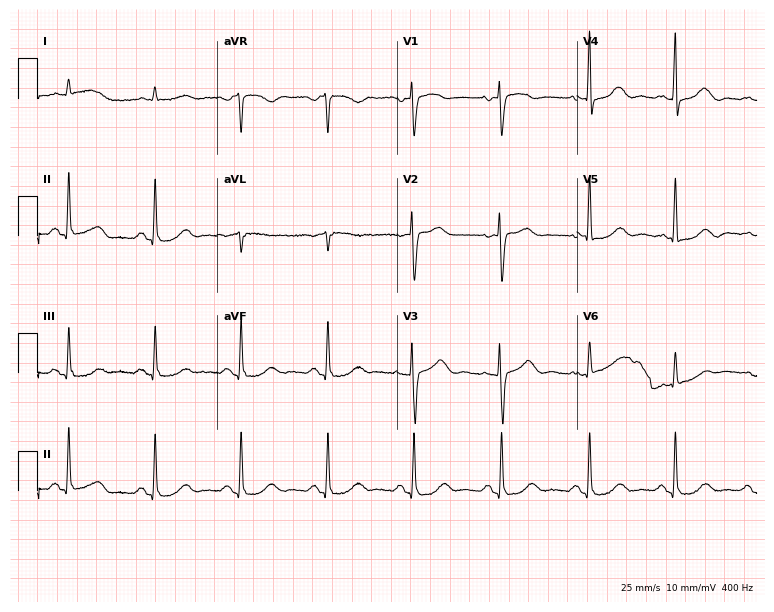
Standard 12-lead ECG recorded from a man, 80 years old. Read as a normal ECG.